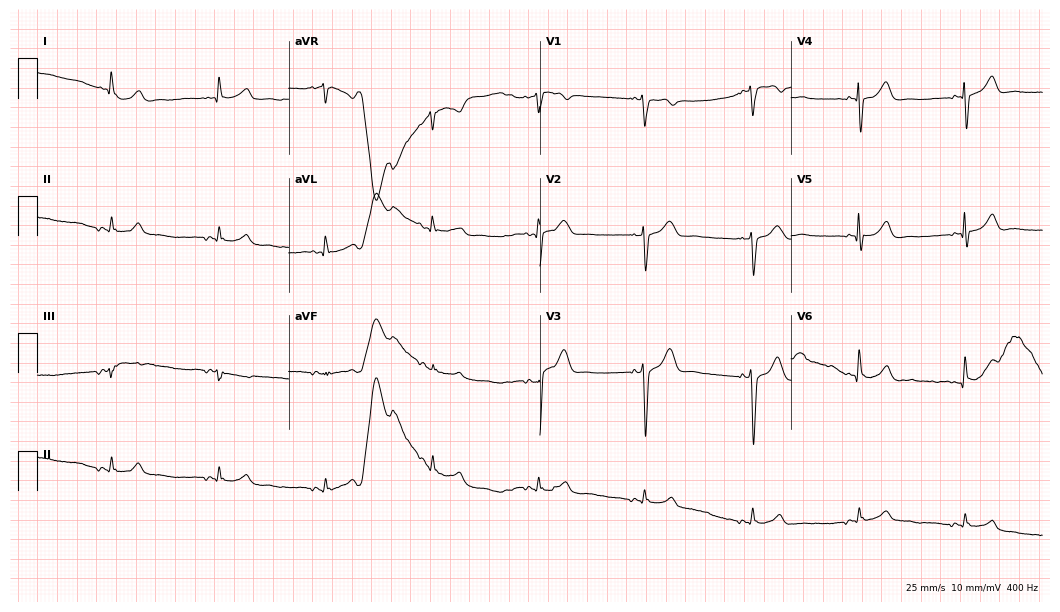
12-lead ECG from a 72-year-old male (10.2-second recording at 400 Hz). No first-degree AV block, right bundle branch block, left bundle branch block, sinus bradycardia, atrial fibrillation or sinus tachycardia recorded for this tracing. Other findings, if any, are not listed.